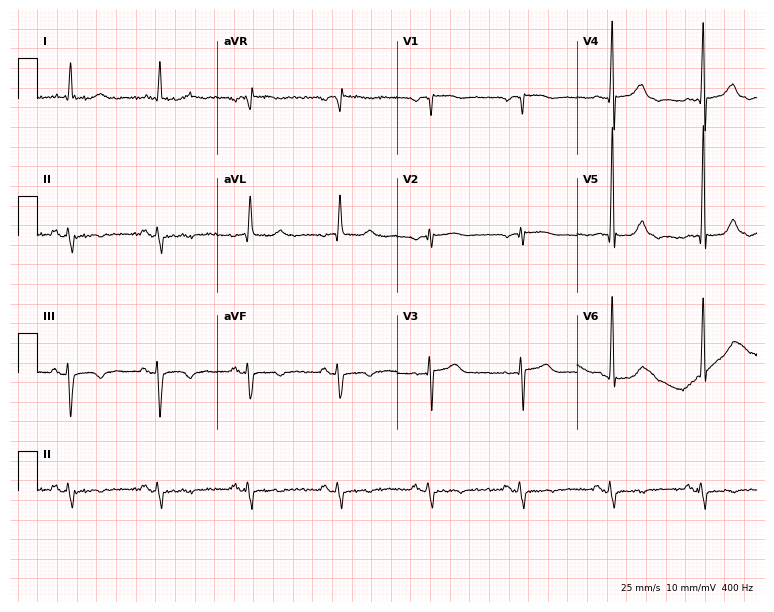
12-lead ECG from a man, 76 years old. No first-degree AV block, right bundle branch block, left bundle branch block, sinus bradycardia, atrial fibrillation or sinus tachycardia recorded for this tracing.